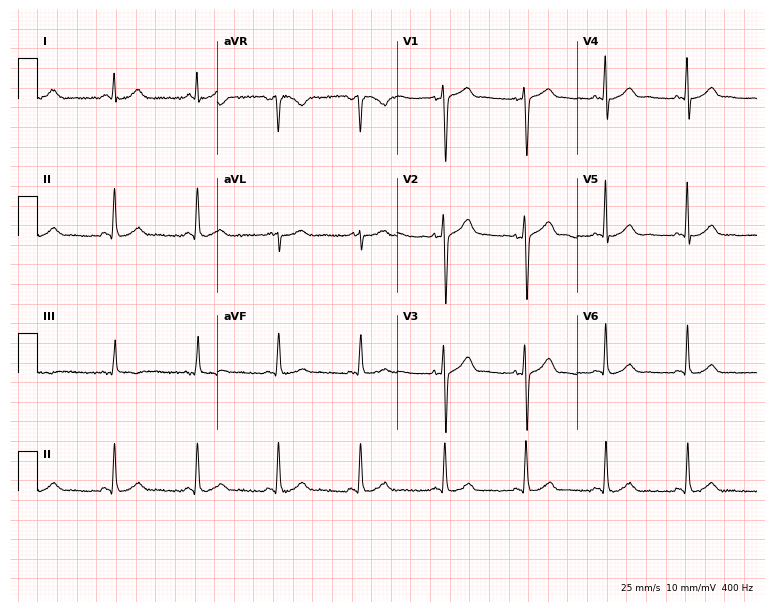
Standard 12-lead ECG recorded from a 48-year-old male (7.3-second recording at 400 Hz). Read as a normal ECG.